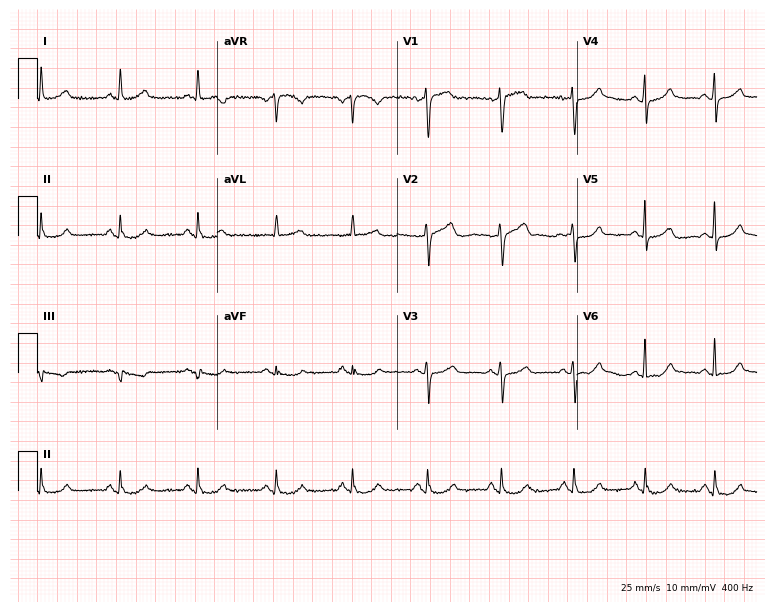
12-lead ECG from a woman, 68 years old. Labelled as a normal ECG.